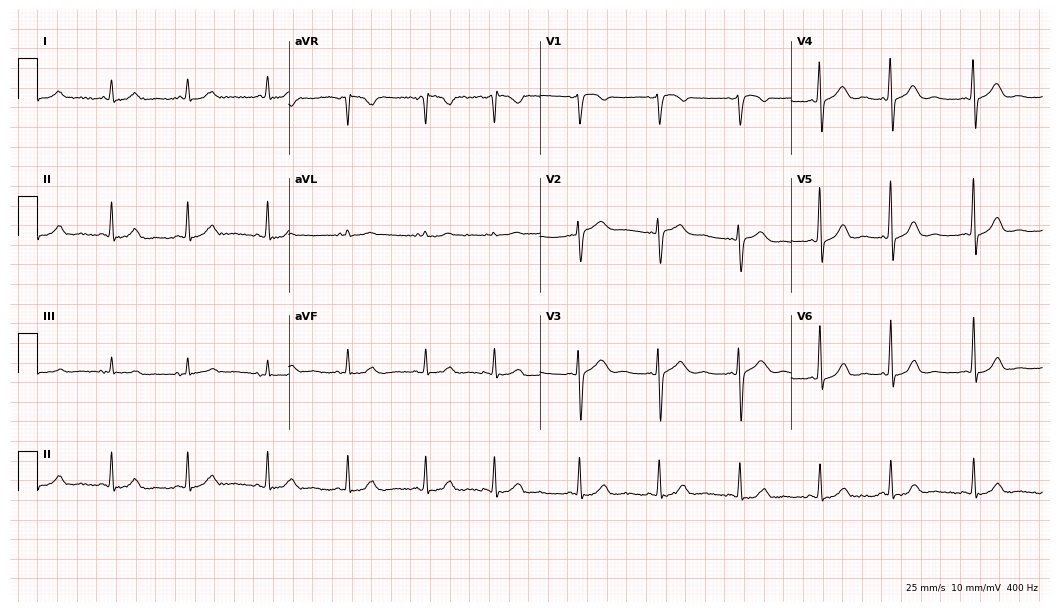
12-lead ECG (10.2-second recording at 400 Hz) from a 48-year-old female patient. Screened for six findings — first-degree AV block, right bundle branch block, left bundle branch block, sinus bradycardia, atrial fibrillation, sinus tachycardia — none is recorded.